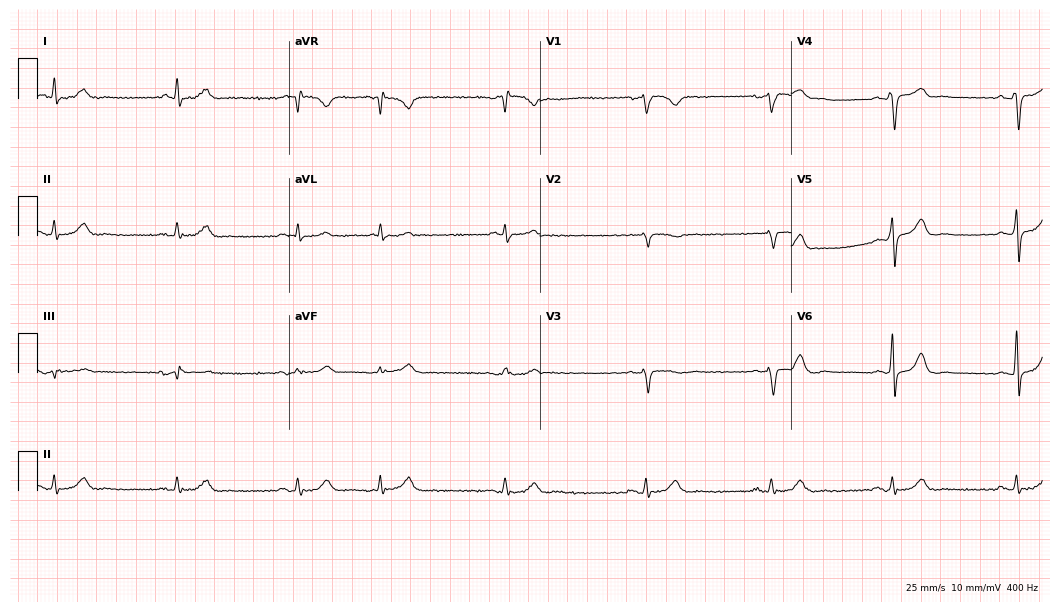
Electrocardiogram, a man, 66 years old. Of the six screened findings (first-degree AV block, right bundle branch block, left bundle branch block, sinus bradycardia, atrial fibrillation, sinus tachycardia), none is recorded. Findings outside these six are not listed.